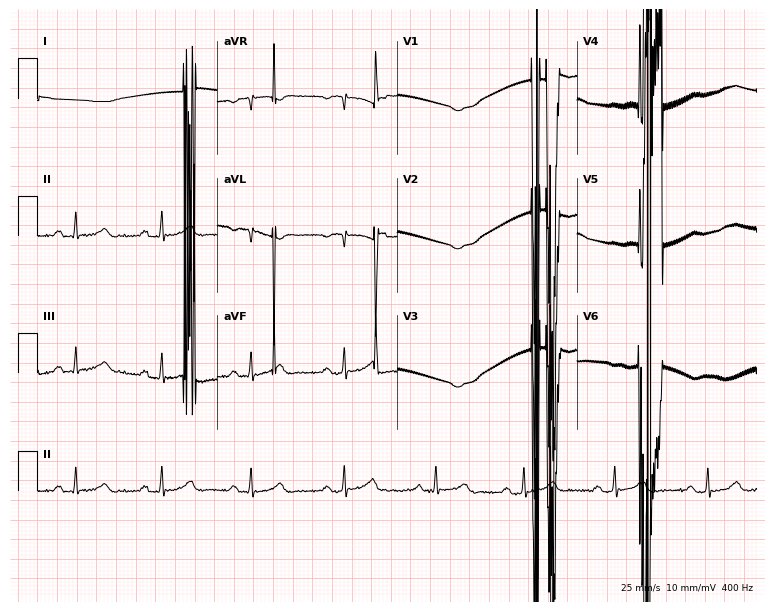
12-lead ECG from a female patient, 76 years old. Recorded interpretation: within normal limits.